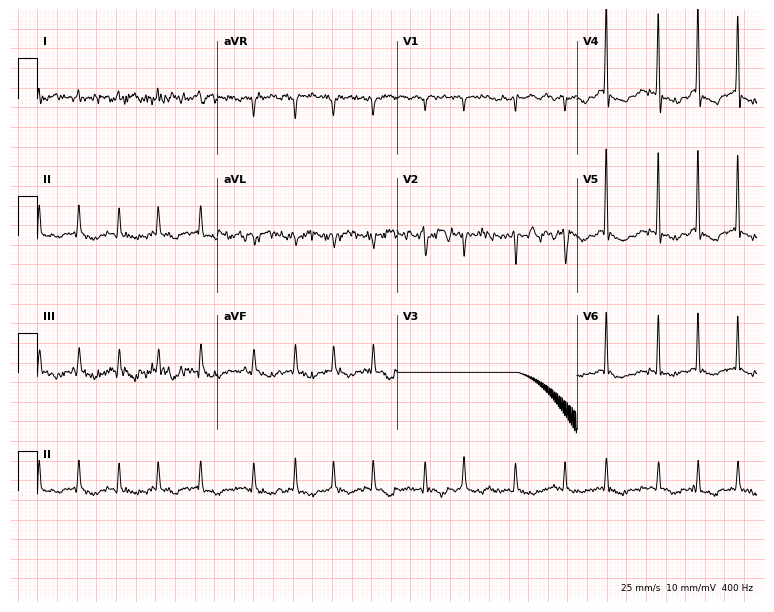
Resting 12-lead electrocardiogram. Patient: a 72-year-old man. None of these six findings is recorded: first-degree AV block, right bundle branch block, left bundle branch block, sinus bradycardia, atrial fibrillation, sinus tachycardia. Only these six findings were labelled.